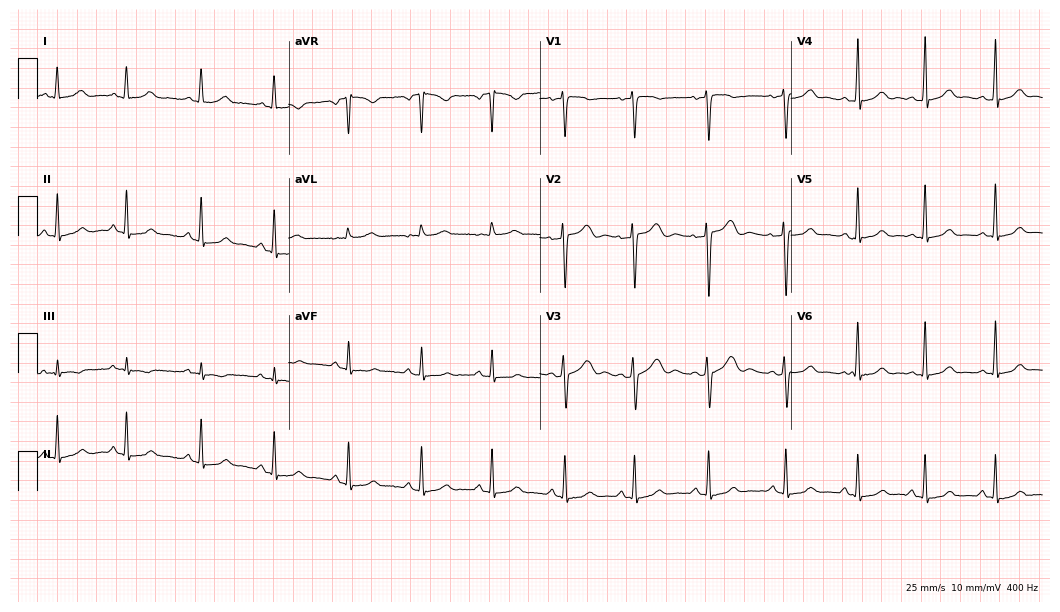
12-lead ECG from a female, 22 years old. Recorded interpretation: within normal limits.